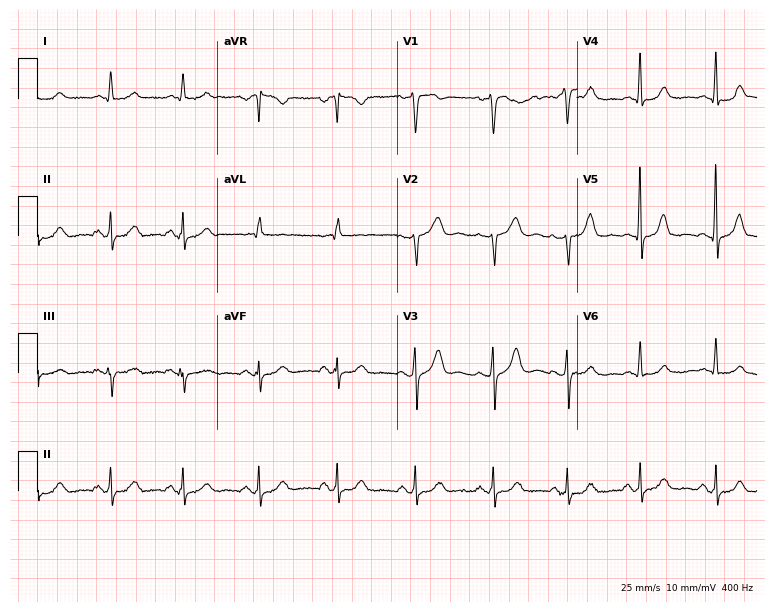
Electrocardiogram, a 59-year-old female. Overall reading on record: normal ECG.